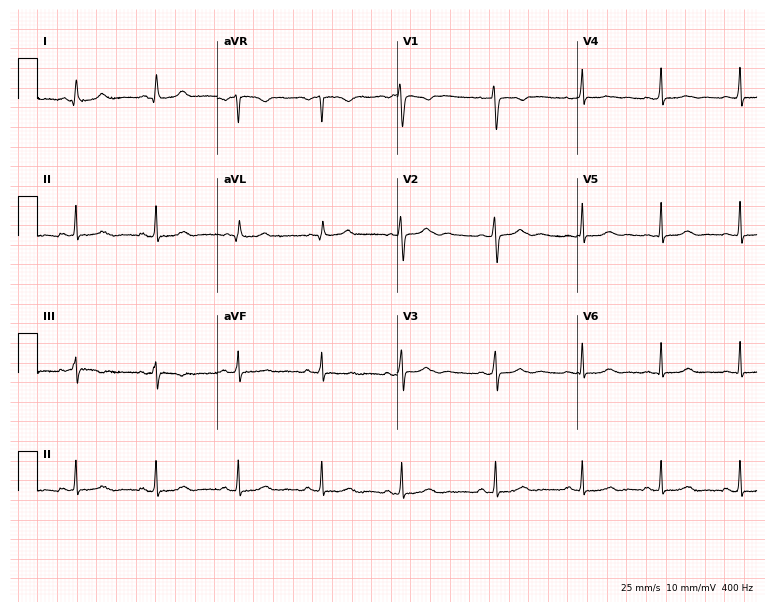
Resting 12-lead electrocardiogram (7.3-second recording at 400 Hz). Patient: an 18-year-old female. None of these six findings is recorded: first-degree AV block, right bundle branch block, left bundle branch block, sinus bradycardia, atrial fibrillation, sinus tachycardia. Only these six findings were labelled.